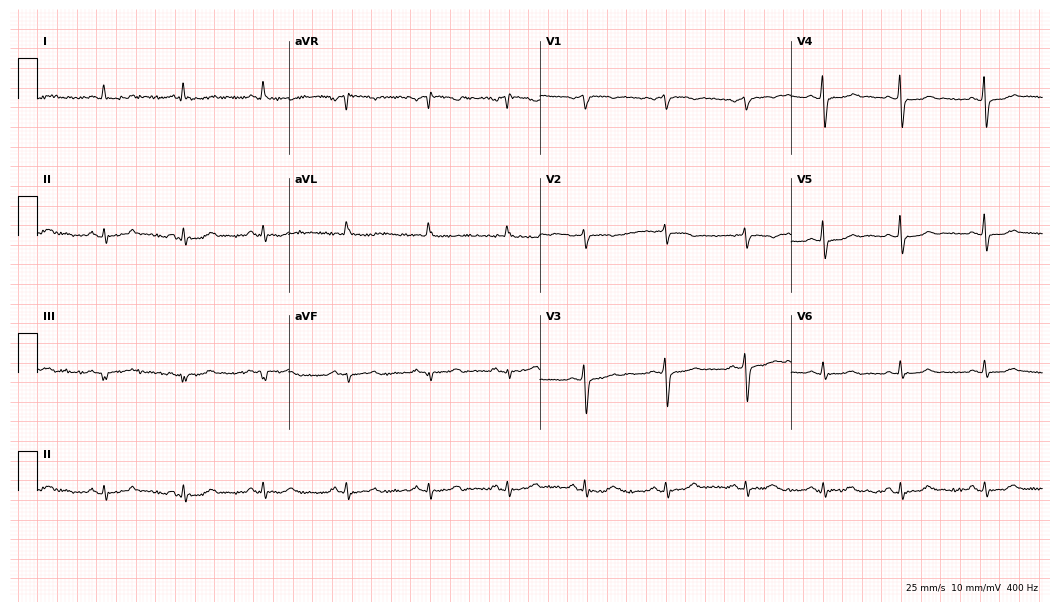
Electrocardiogram, a female, 61 years old. Of the six screened findings (first-degree AV block, right bundle branch block (RBBB), left bundle branch block (LBBB), sinus bradycardia, atrial fibrillation (AF), sinus tachycardia), none is recorded. Only these six findings were labelled.